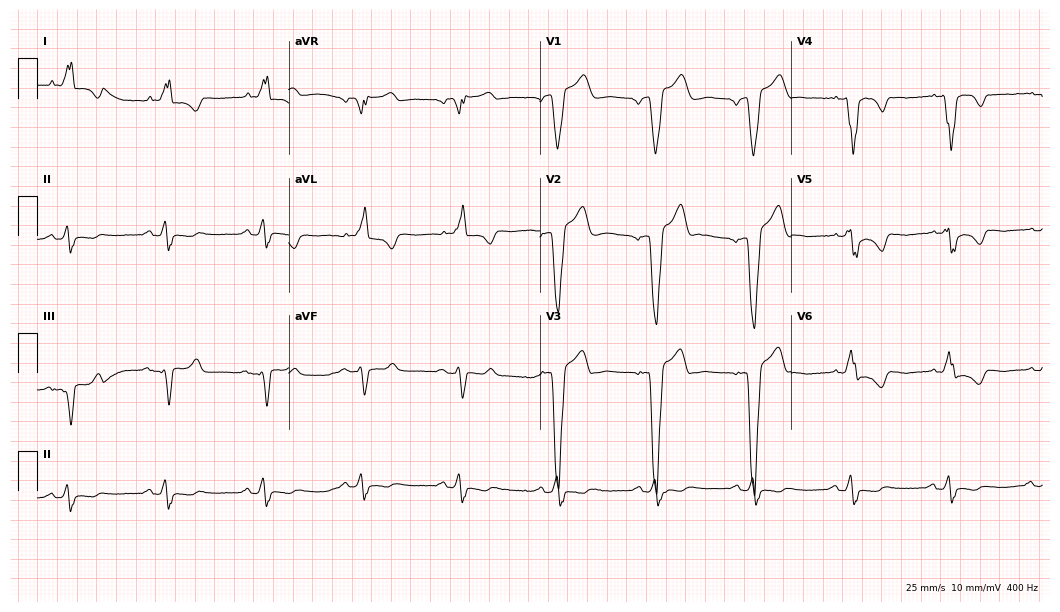
Electrocardiogram, a 65-year-old male. Of the six screened findings (first-degree AV block, right bundle branch block, left bundle branch block, sinus bradycardia, atrial fibrillation, sinus tachycardia), none is recorded.